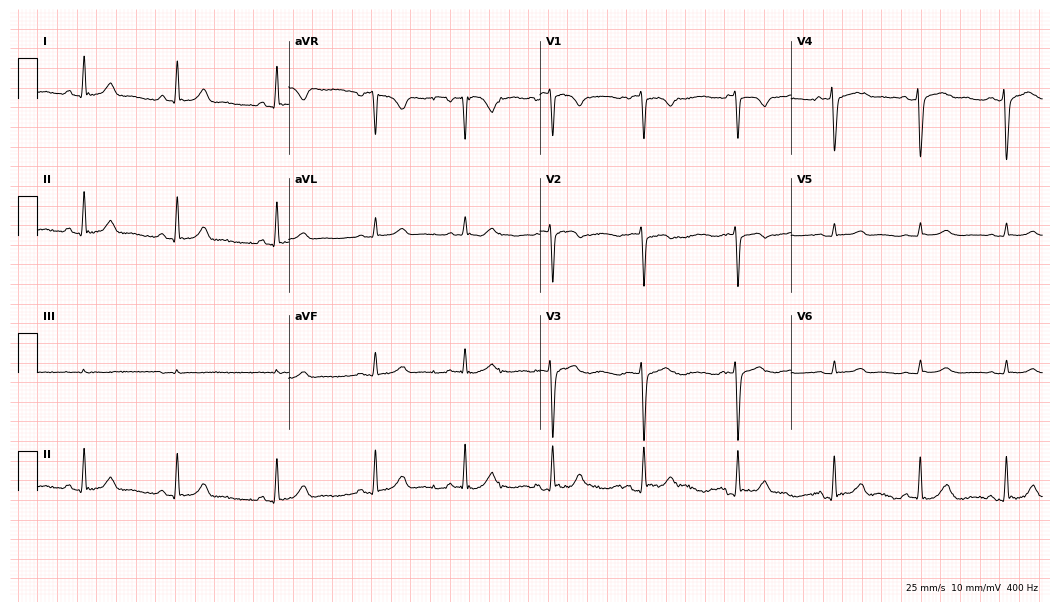
Electrocardiogram, a female, 26 years old. Overall reading on record: normal ECG.